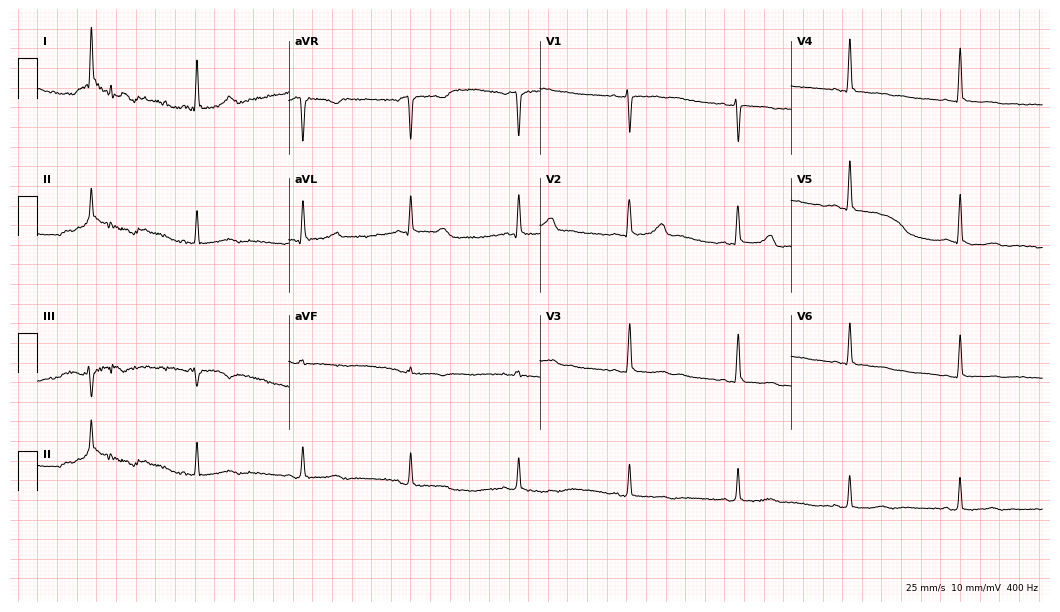
12-lead ECG (10.2-second recording at 400 Hz) from an 83-year-old woman. Screened for six findings — first-degree AV block, right bundle branch block, left bundle branch block, sinus bradycardia, atrial fibrillation, sinus tachycardia — none is recorded. Findings outside these six are not listed.